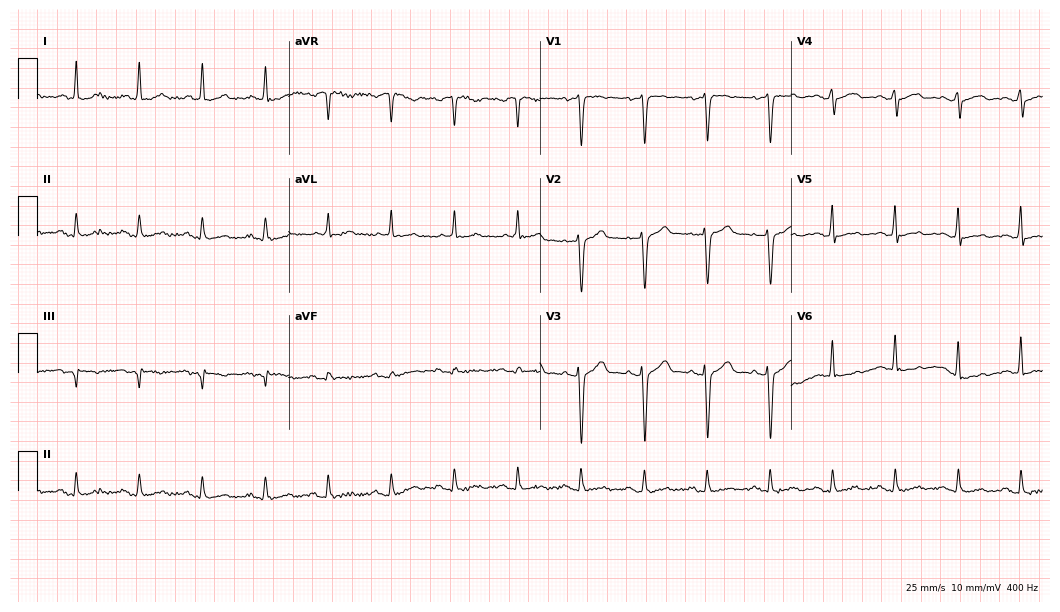
Electrocardiogram, a male, 72 years old. Overall reading on record: normal ECG.